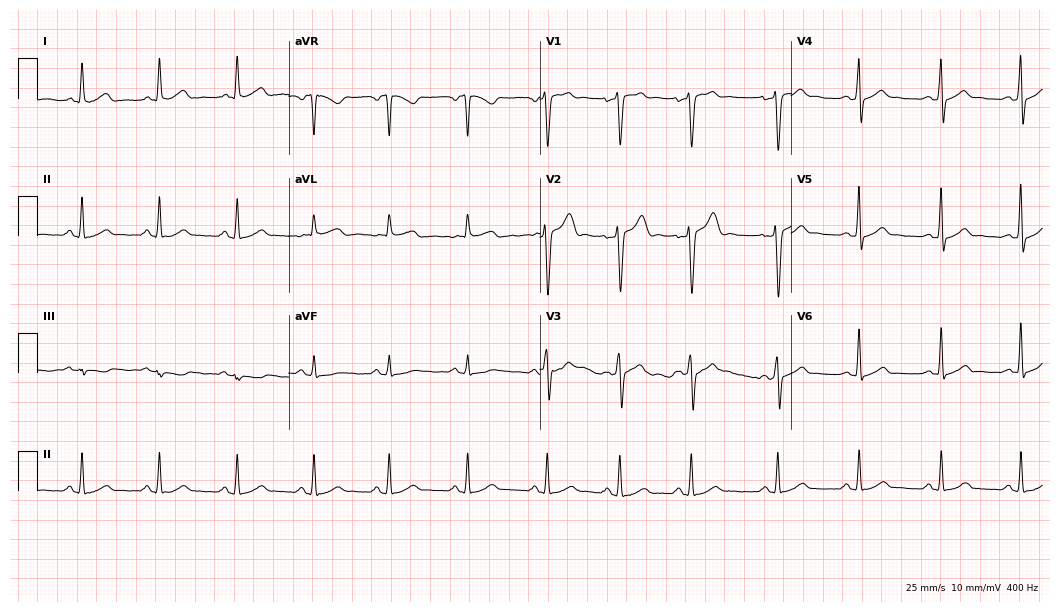
Electrocardiogram (10.2-second recording at 400 Hz), a male, 26 years old. Overall reading on record: normal ECG.